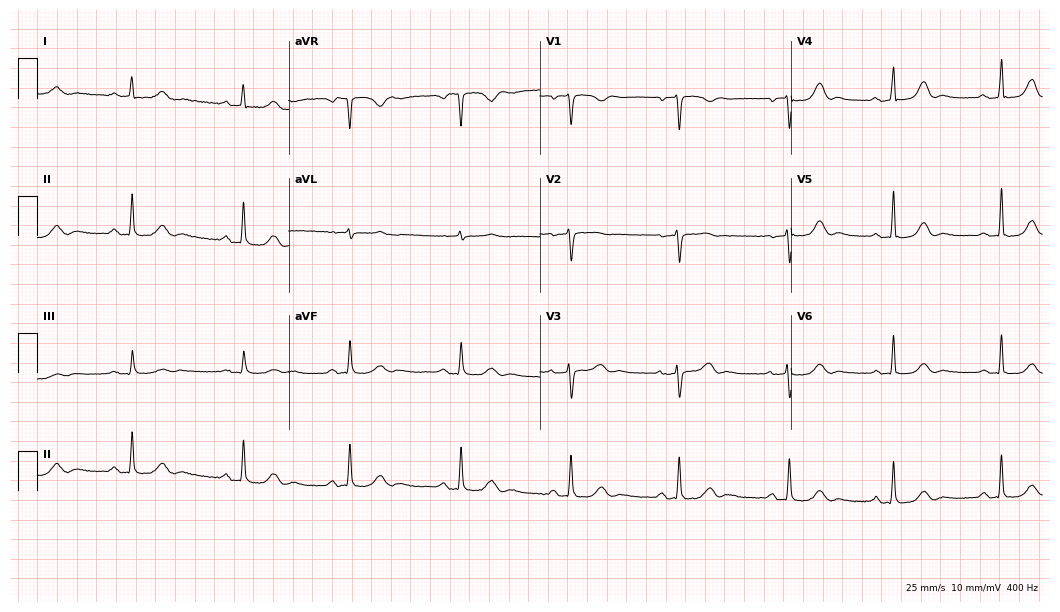
12-lead ECG from a female patient, 57 years old. Screened for six findings — first-degree AV block, right bundle branch block (RBBB), left bundle branch block (LBBB), sinus bradycardia, atrial fibrillation (AF), sinus tachycardia — none is recorded.